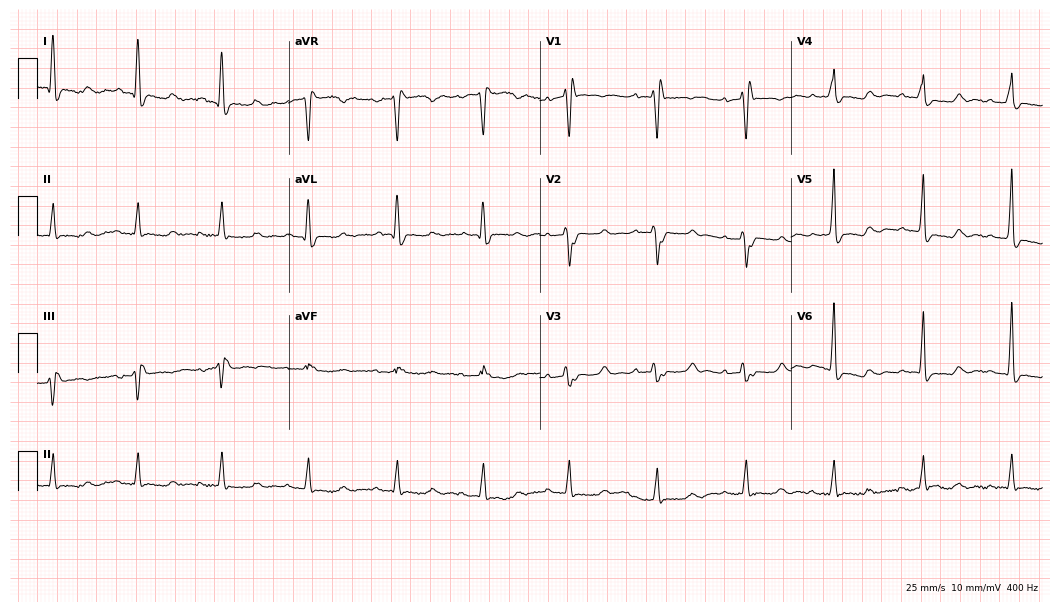
12-lead ECG from a woman, 79 years old (10.2-second recording at 400 Hz). Shows right bundle branch block (RBBB).